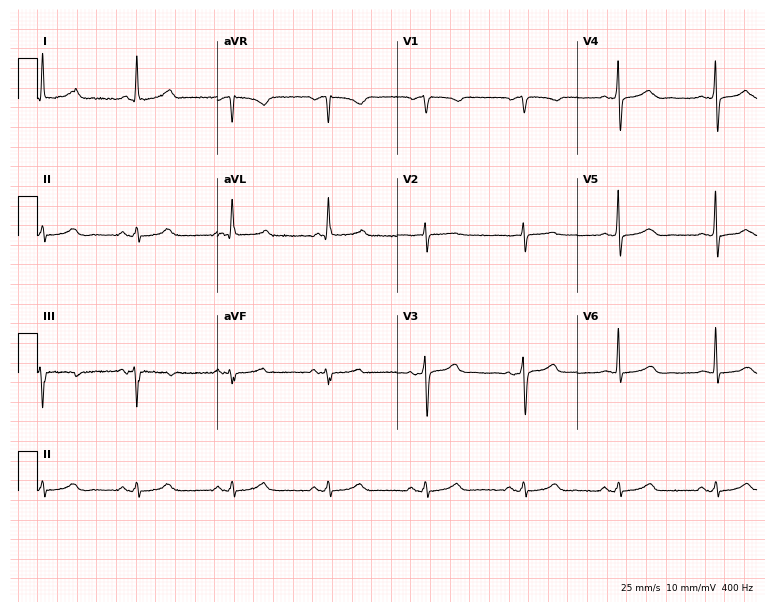
Electrocardiogram, a female, 83 years old. Overall reading on record: normal ECG.